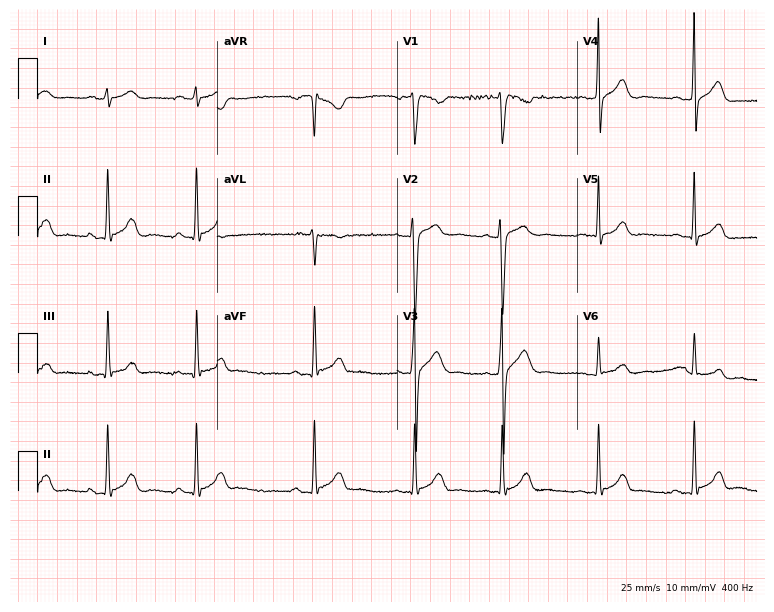
Standard 12-lead ECG recorded from a male patient, 17 years old (7.3-second recording at 400 Hz). Read as a normal ECG.